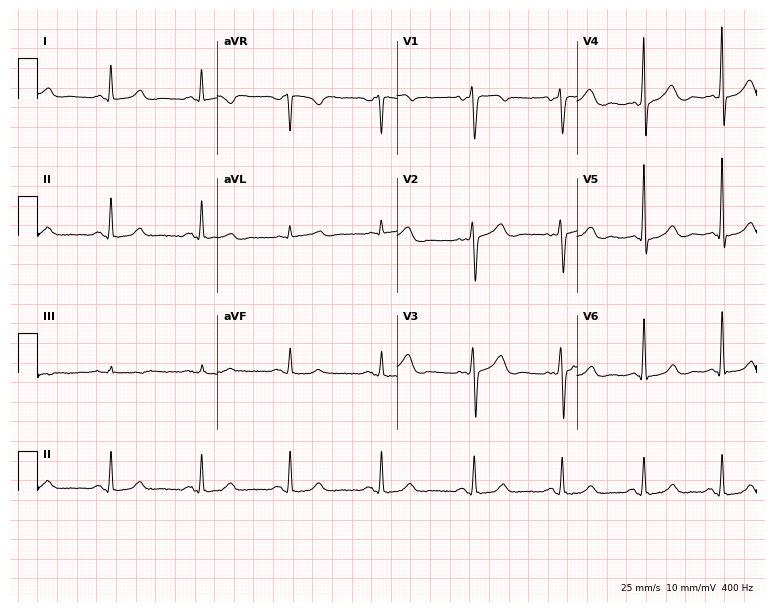
Resting 12-lead electrocardiogram. Patient: a 45-year-old female. None of these six findings is recorded: first-degree AV block, right bundle branch block (RBBB), left bundle branch block (LBBB), sinus bradycardia, atrial fibrillation (AF), sinus tachycardia.